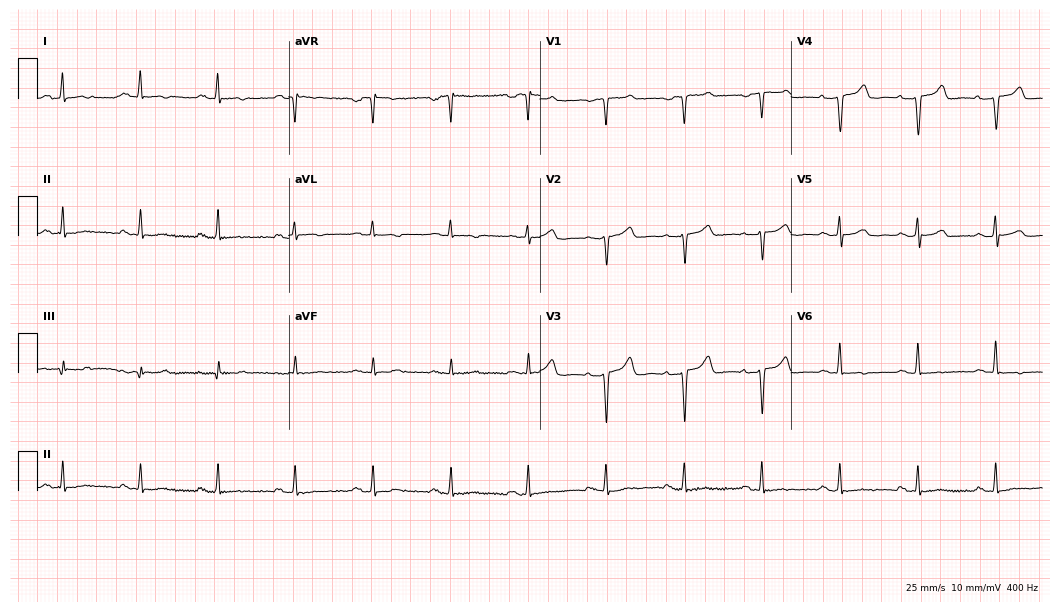
Standard 12-lead ECG recorded from a woman, 63 years old. None of these six findings is recorded: first-degree AV block, right bundle branch block (RBBB), left bundle branch block (LBBB), sinus bradycardia, atrial fibrillation (AF), sinus tachycardia. Other findings, if any, are not listed.